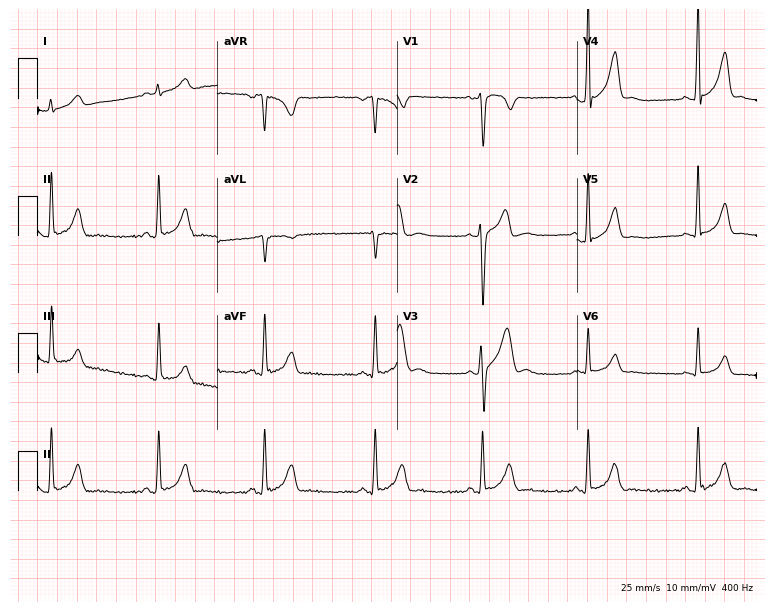
Resting 12-lead electrocardiogram (7.3-second recording at 400 Hz). Patient: a 25-year-old man. None of these six findings is recorded: first-degree AV block, right bundle branch block, left bundle branch block, sinus bradycardia, atrial fibrillation, sinus tachycardia. Findings outside these six are not listed.